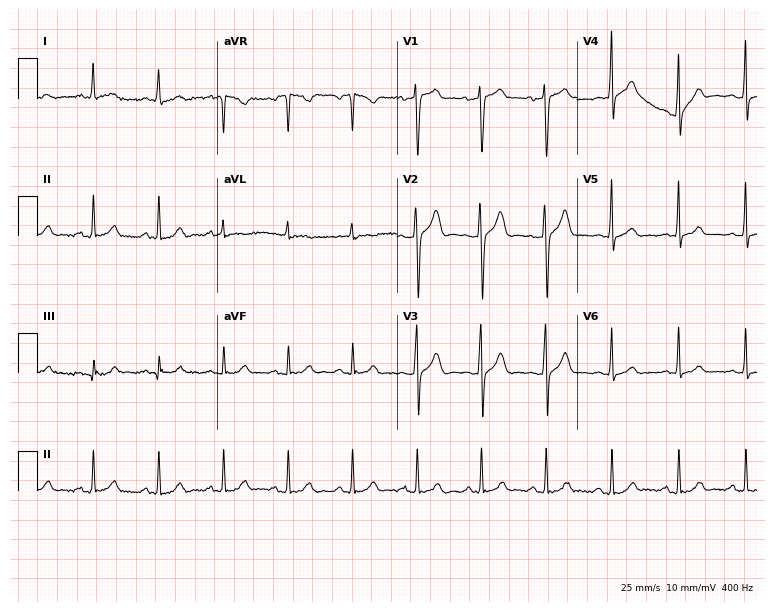
12-lead ECG from a 35-year-old man (7.3-second recording at 400 Hz). Recorded interpretation: within normal limits.